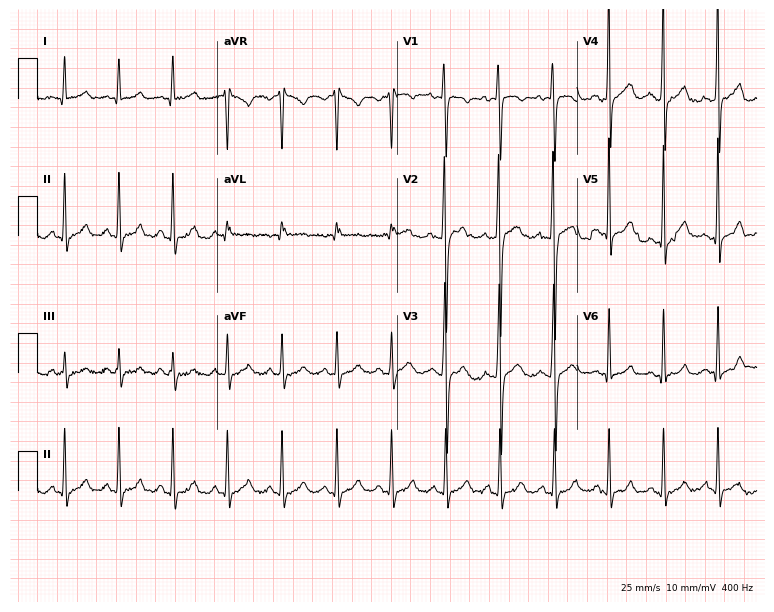
12-lead ECG from a 17-year-old male. Findings include sinus tachycardia (a sinus rate of 100 beats per minute or more).